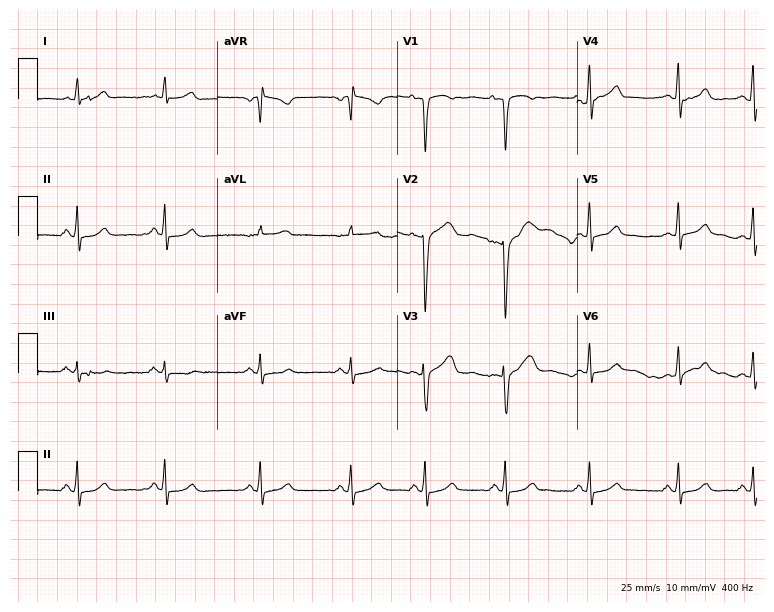
Electrocardiogram, a female, 32 years old. Of the six screened findings (first-degree AV block, right bundle branch block, left bundle branch block, sinus bradycardia, atrial fibrillation, sinus tachycardia), none is recorded. Other findings, if any, are not listed.